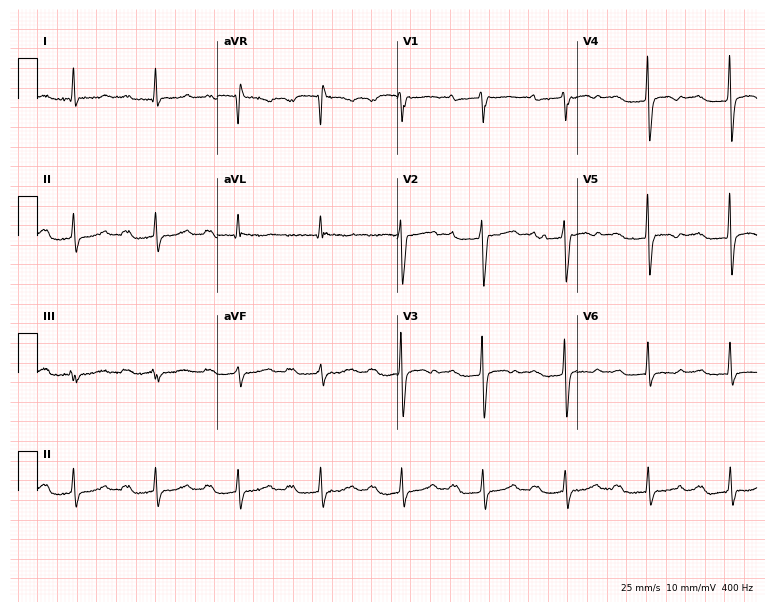
Electrocardiogram, a female, 50 years old. Interpretation includes first-degree AV block.